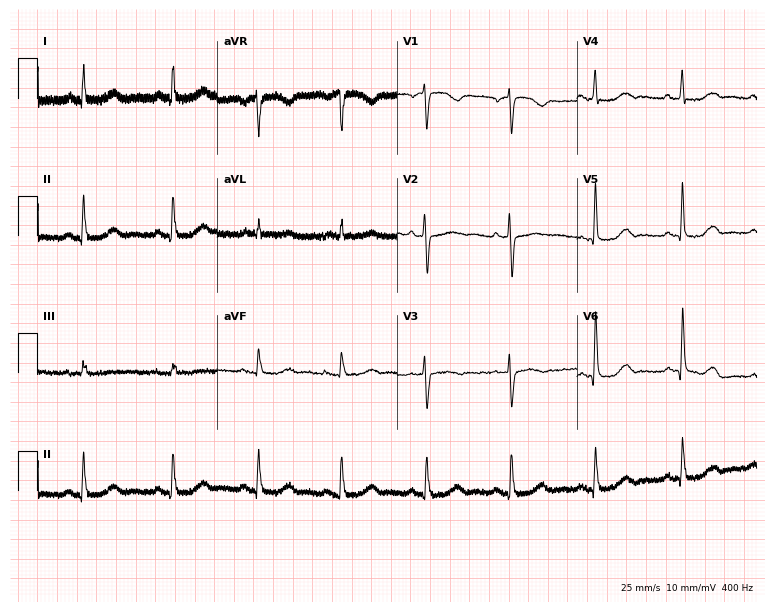
12-lead ECG (7.3-second recording at 400 Hz) from a female patient, 60 years old. Labelled as a normal ECG.